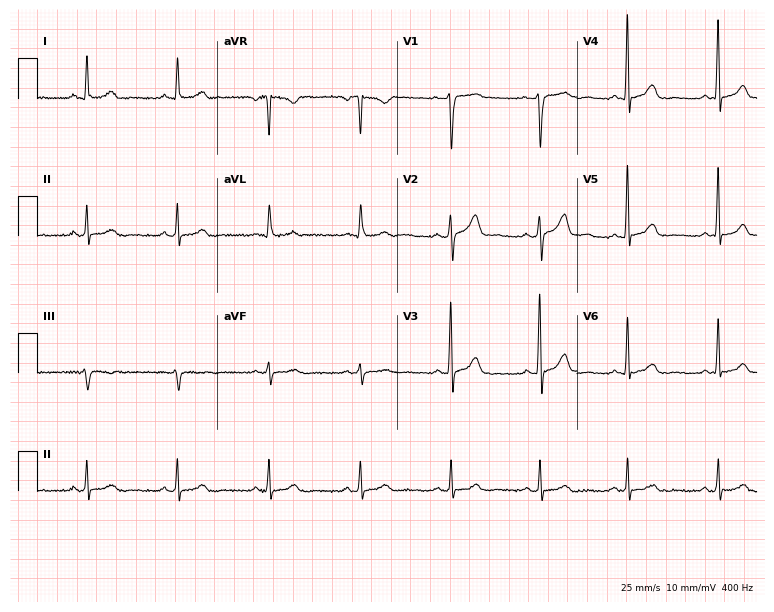
Resting 12-lead electrocardiogram. Patient: a 43-year-old female. None of these six findings is recorded: first-degree AV block, right bundle branch block, left bundle branch block, sinus bradycardia, atrial fibrillation, sinus tachycardia.